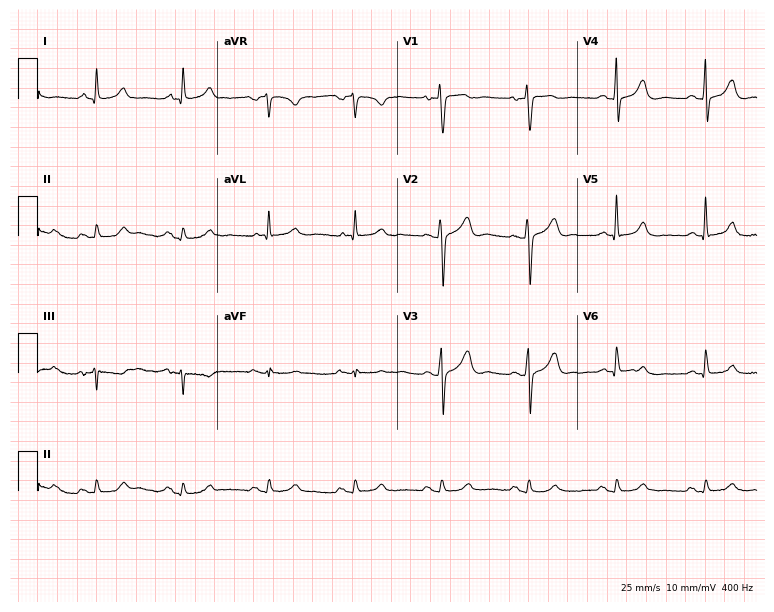
12-lead ECG (7.3-second recording at 400 Hz) from a 76-year-old man. Screened for six findings — first-degree AV block, right bundle branch block (RBBB), left bundle branch block (LBBB), sinus bradycardia, atrial fibrillation (AF), sinus tachycardia — none is recorded.